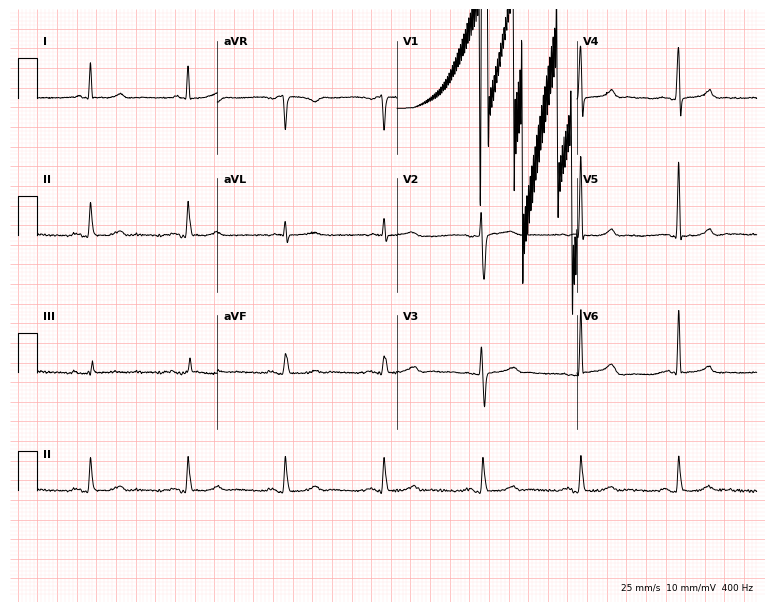
12-lead ECG (7.3-second recording at 400 Hz) from a 57-year-old woman. Screened for six findings — first-degree AV block, right bundle branch block, left bundle branch block, sinus bradycardia, atrial fibrillation, sinus tachycardia — none is recorded.